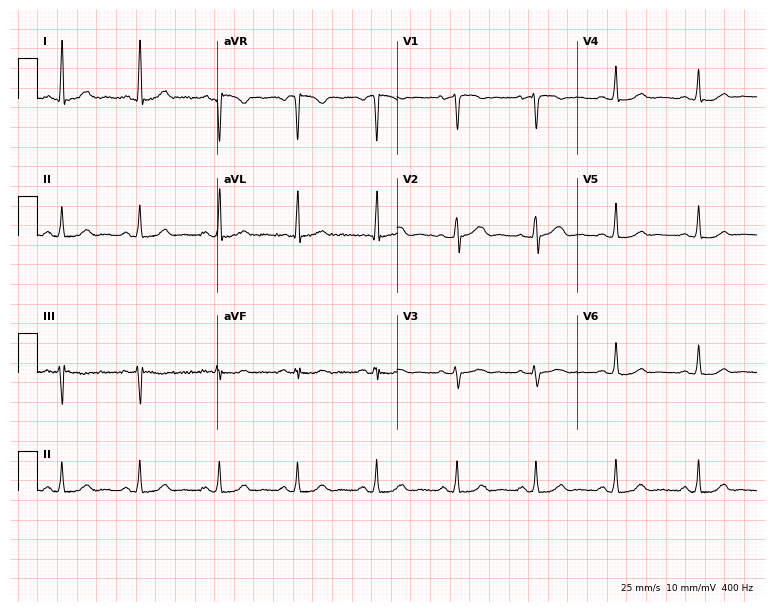
Resting 12-lead electrocardiogram (7.3-second recording at 400 Hz). Patient: a 37-year-old woman. Read as a normal ECG.